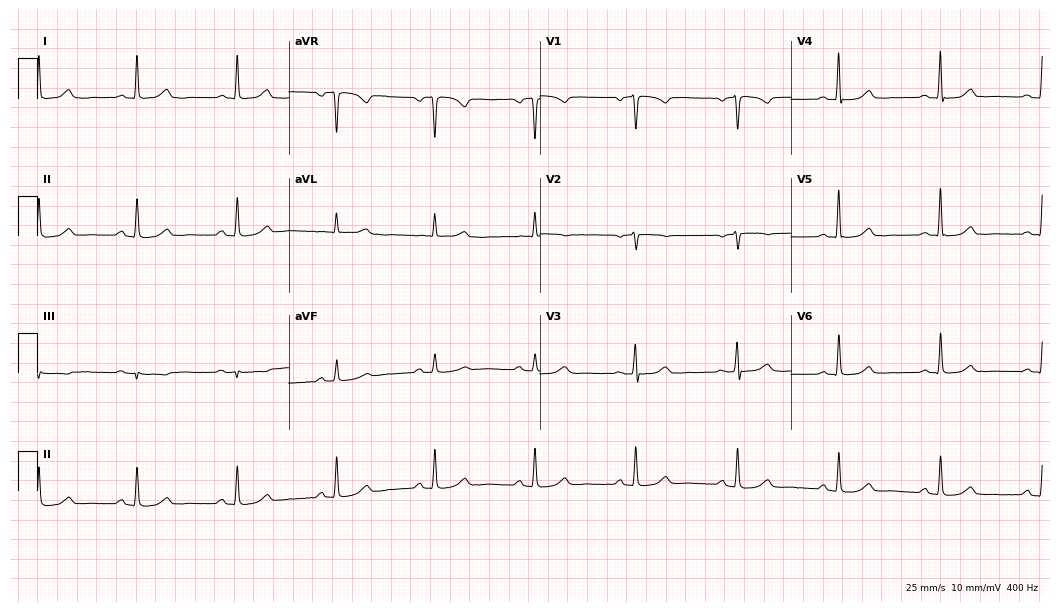
Electrocardiogram (10.2-second recording at 400 Hz), a 74-year-old woman. Overall reading on record: normal ECG.